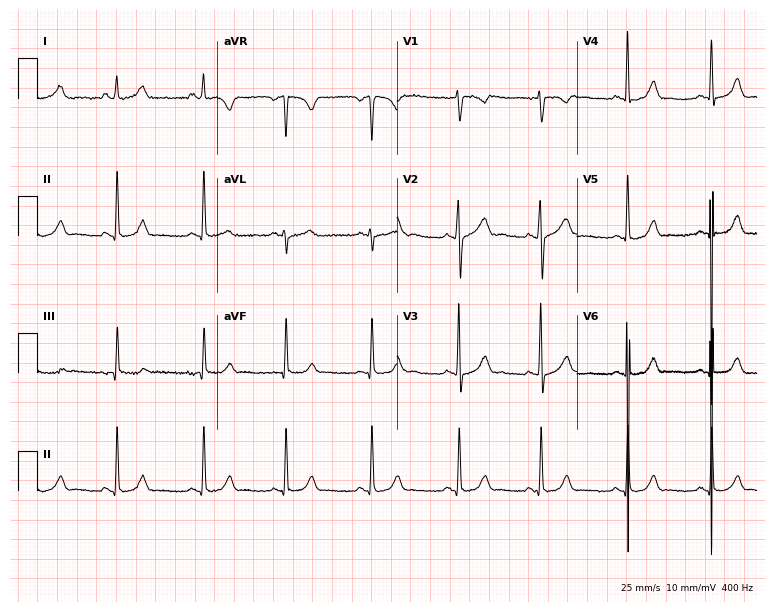
Standard 12-lead ECG recorded from a female, 25 years old. Read as a normal ECG.